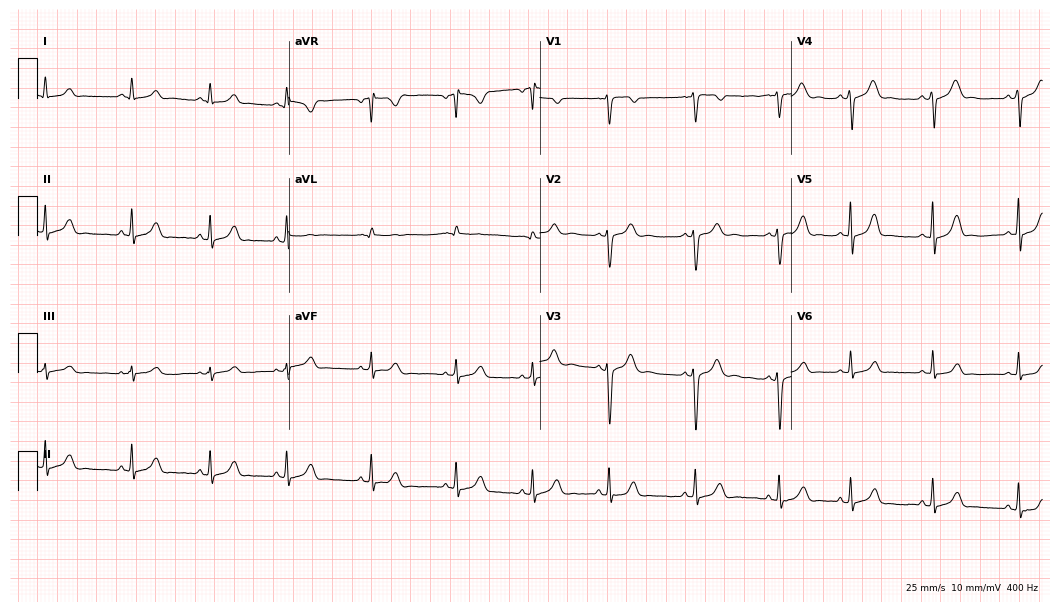
ECG (10.2-second recording at 400 Hz) — an 18-year-old woman. Labelled as a normal ECG.